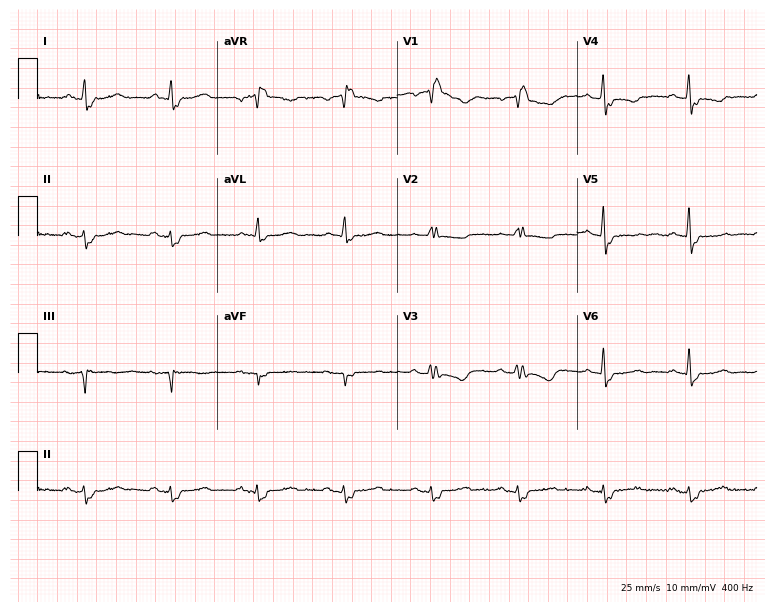
12-lead ECG from a 59-year-old female patient (7.3-second recording at 400 Hz). Shows right bundle branch block.